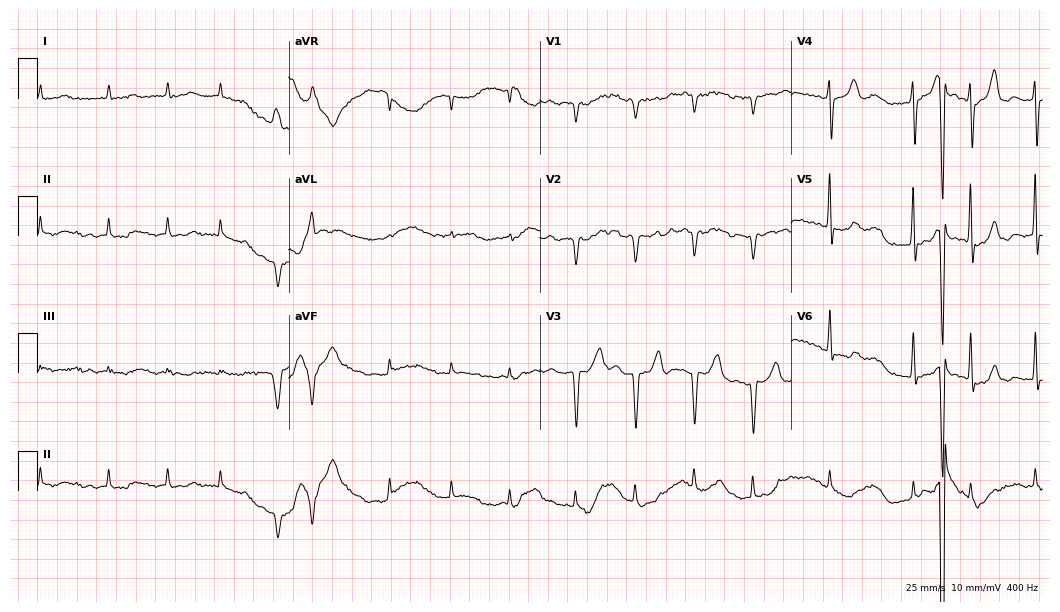
ECG (10.2-second recording at 400 Hz) — a male patient, 82 years old. Findings include atrial fibrillation.